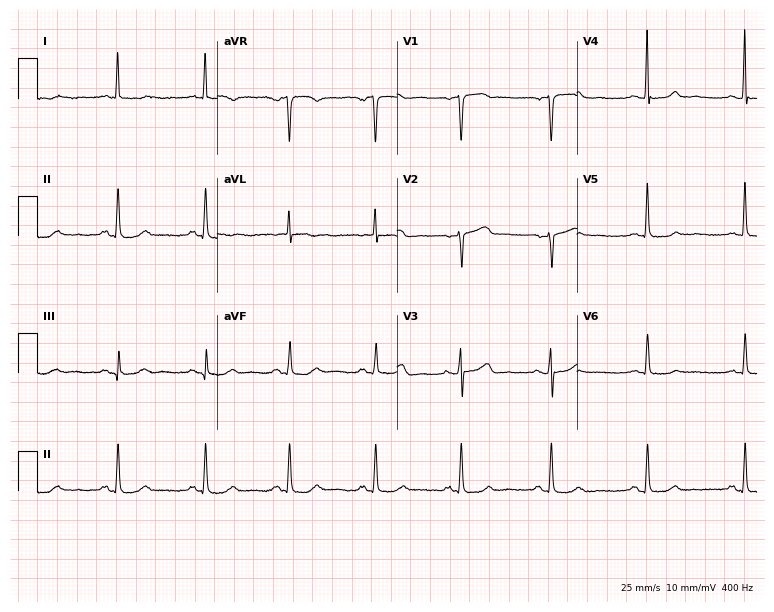
12-lead ECG from a female patient, 74 years old. Screened for six findings — first-degree AV block, right bundle branch block (RBBB), left bundle branch block (LBBB), sinus bradycardia, atrial fibrillation (AF), sinus tachycardia — none is recorded. Only these six findings were labelled.